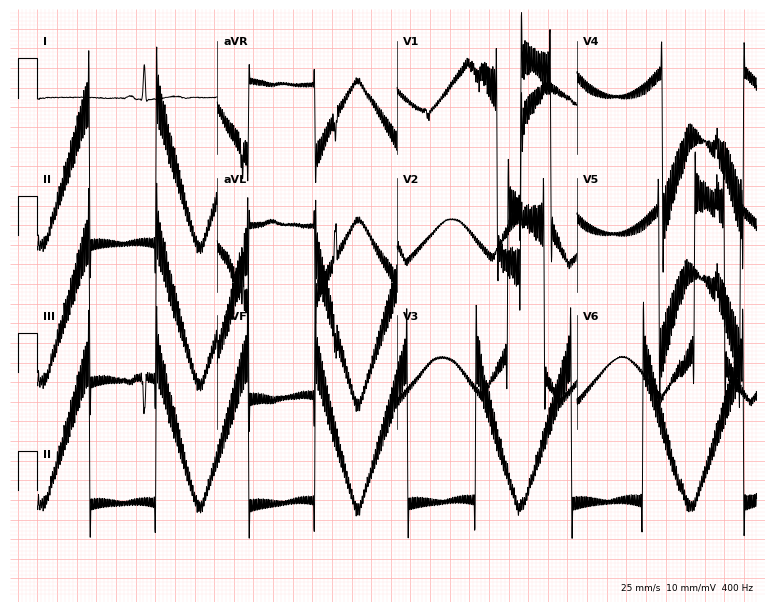
Standard 12-lead ECG recorded from a female patient, 80 years old. None of these six findings is recorded: first-degree AV block, right bundle branch block, left bundle branch block, sinus bradycardia, atrial fibrillation, sinus tachycardia. Only these six findings were labelled.